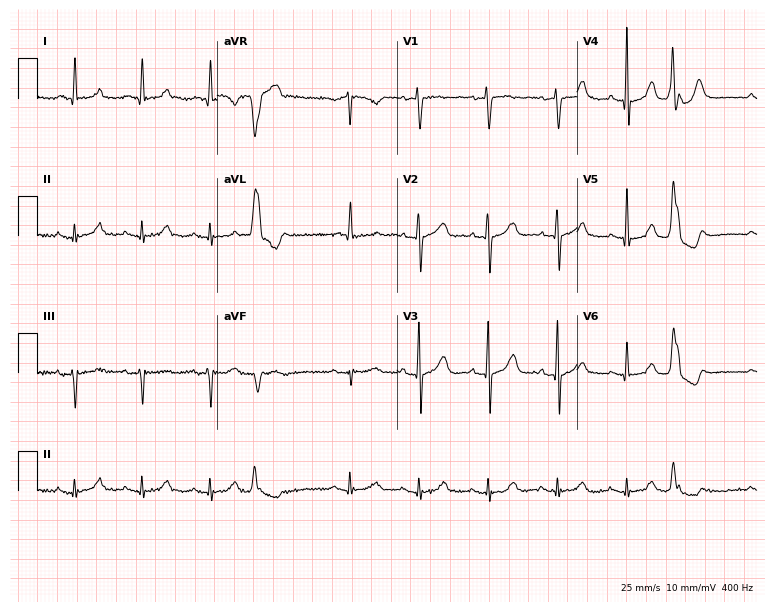
12-lead ECG from a 69-year-old woman (7.3-second recording at 400 Hz). No first-degree AV block, right bundle branch block (RBBB), left bundle branch block (LBBB), sinus bradycardia, atrial fibrillation (AF) or sinus tachycardia recorded for this tracing.